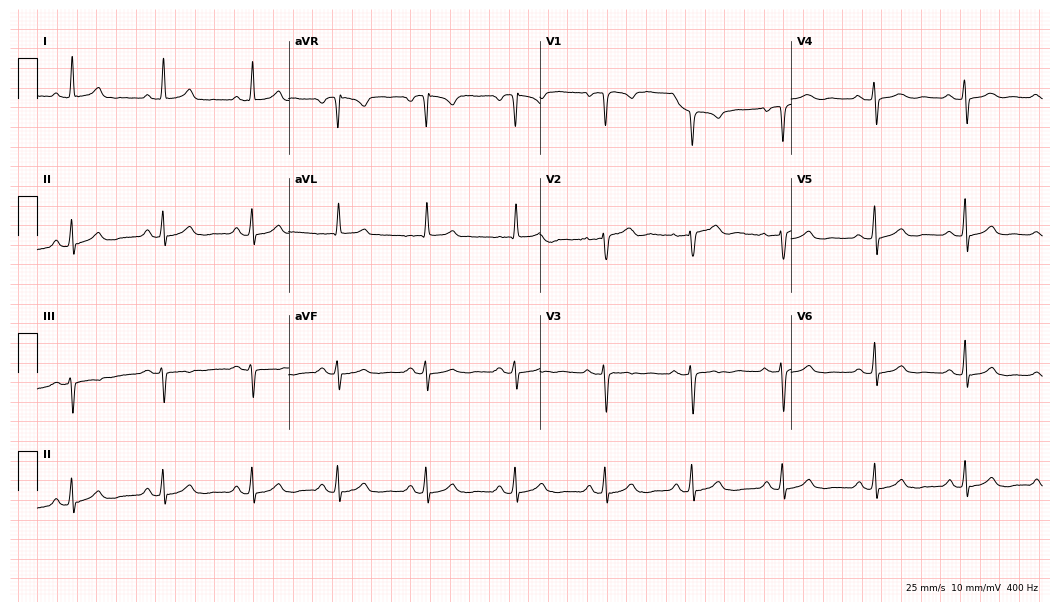
12-lead ECG from a 57-year-old female patient (10.2-second recording at 400 Hz). Recorded interpretation: within normal limits.